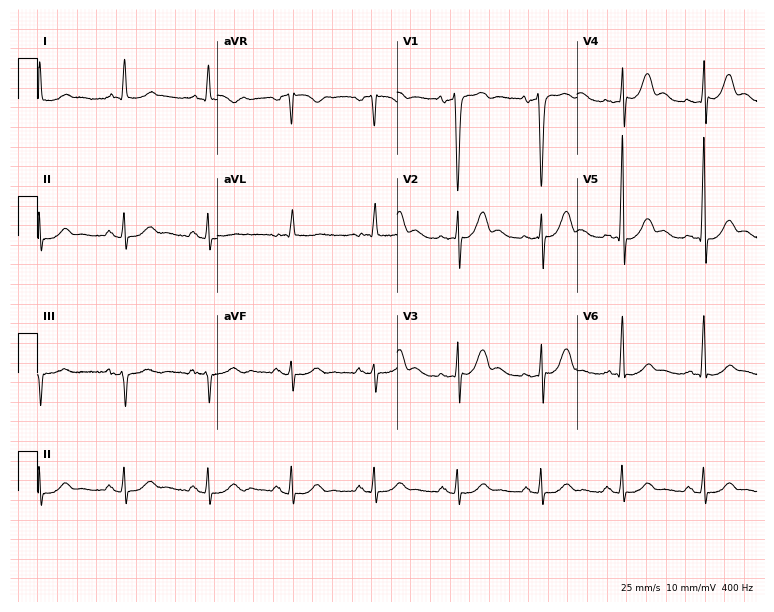
Resting 12-lead electrocardiogram. Patient: a 53-year-old male. Read as a normal ECG.